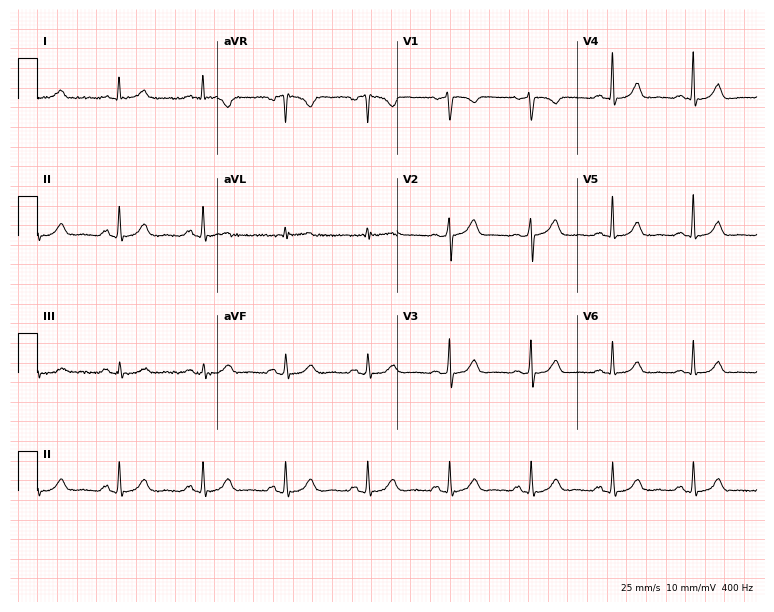
Resting 12-lead electrocardiogram. Patient: a 64-year-old female. Read as a normal ECG.